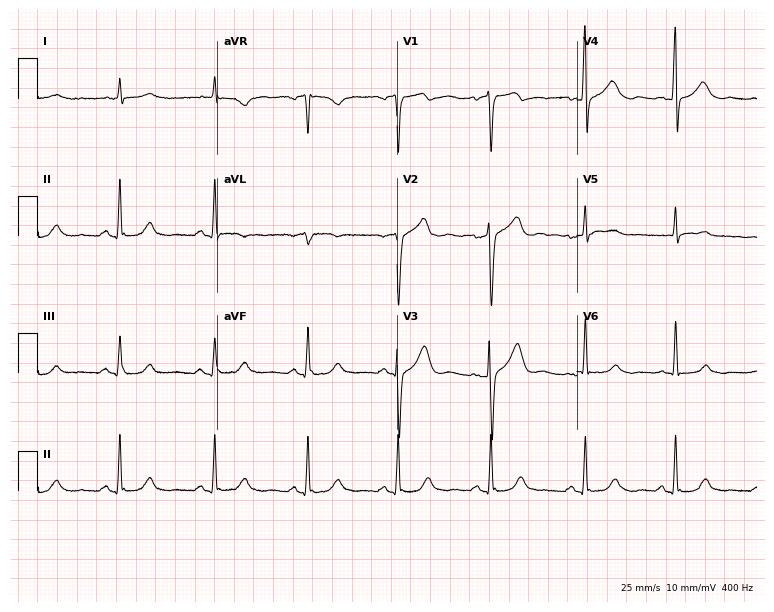
12-lead ECG from a man, 72 years old (7.3-second recording at 400 Hz). No first-degree AV block, right bundle branch block (RBBB), left bundle branch block (LBBB), sinus bradycardia, atrial fibrillation (AF) or sinus tachycardia recorded for this tracing. Findings outside these six are not listed.